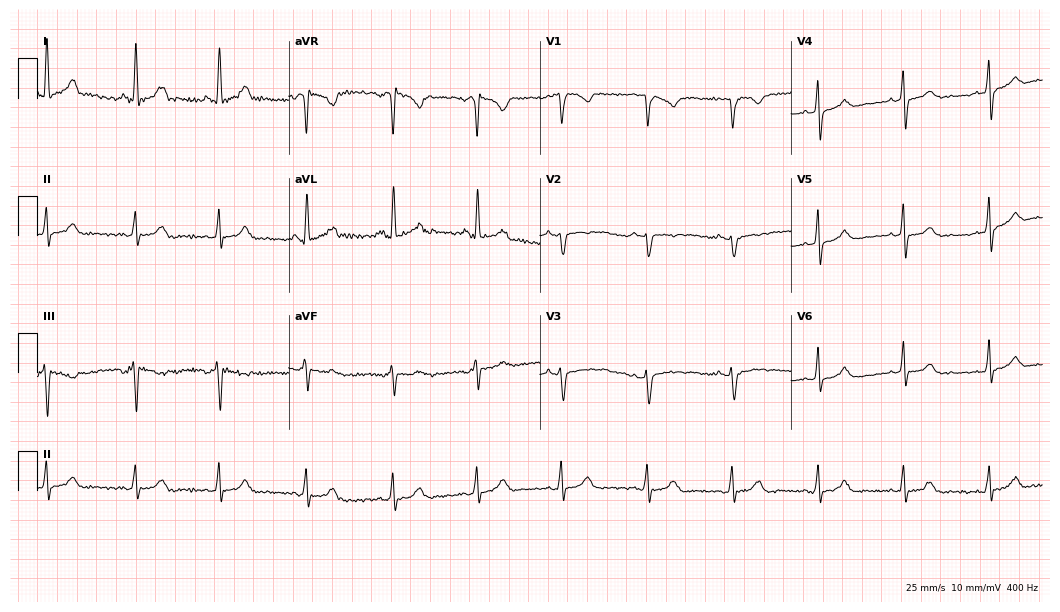
Standard 12-lead ECG recorded from a 37-year-old female patient. Read as a normal ECG.